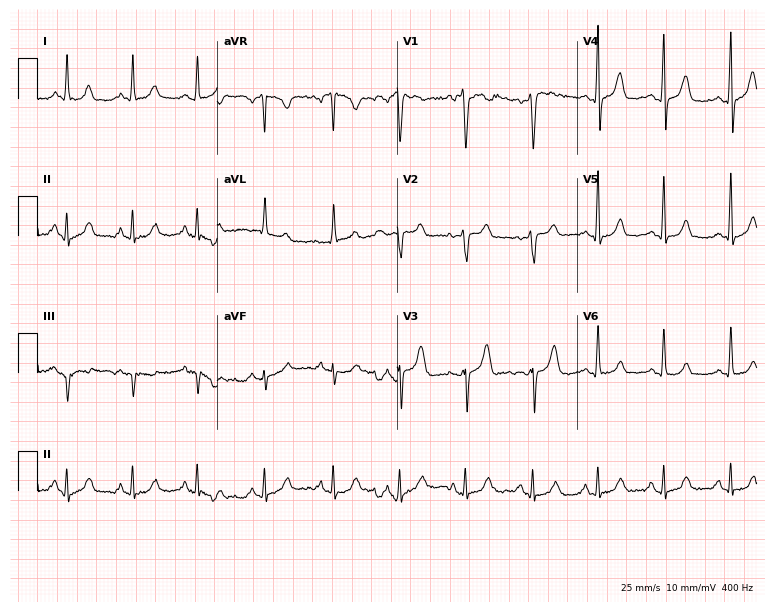
12-lead ECG (7.3-second recording at 400 Hz) from a 50-year-old woman. Screened for six findings — first-degree AV block, right bundle branch block, left bundle branch block, sinus bradycardia, atrial fibrillation, sinus tachycardia — none is recorded. Other findings, if any, are not listed.